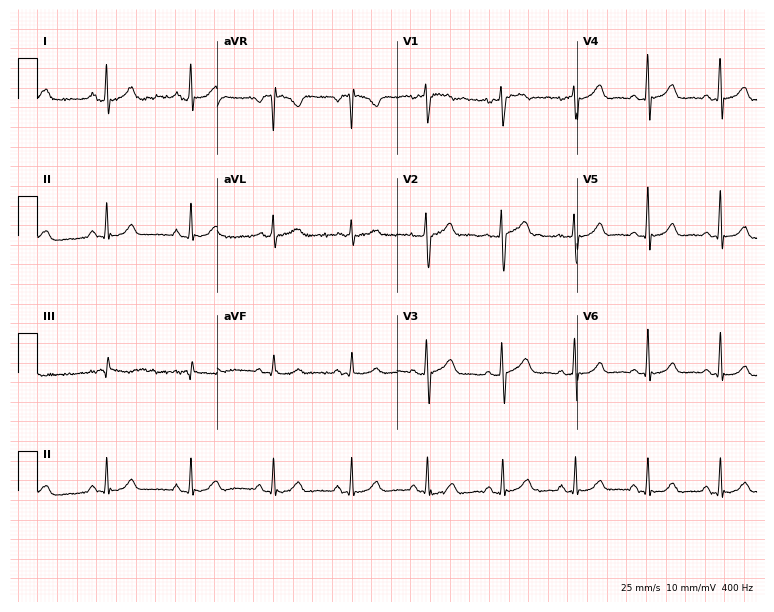
ECG — a female patient, 40 years old. Labelled as a normal ECG.